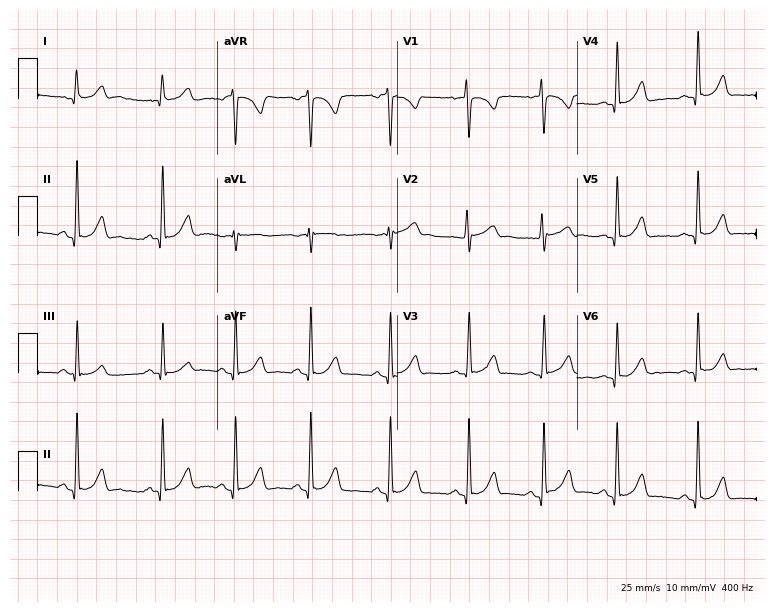
Standard 12-lead ECG recorded from a female, 21 years old. None of these six findings is recorded: first-degree AV block, right bundle branch block, left bundle branch block, sinus bradycardia, atrial fibrillation, sinus tachycardia. Only these six findings were labelled.